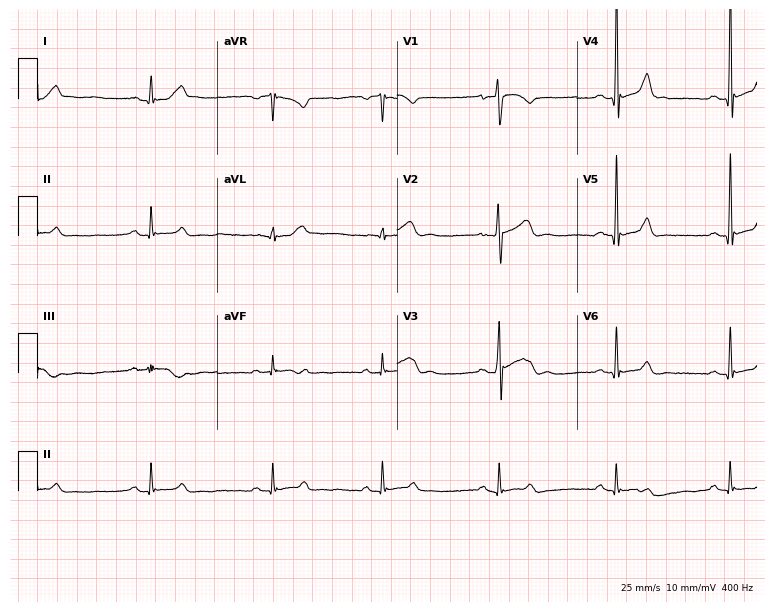
Standard 12-lead ECG recorded from a 29-year-old male (7.3-second recording at 400 Hz). Read as a normal ECG.